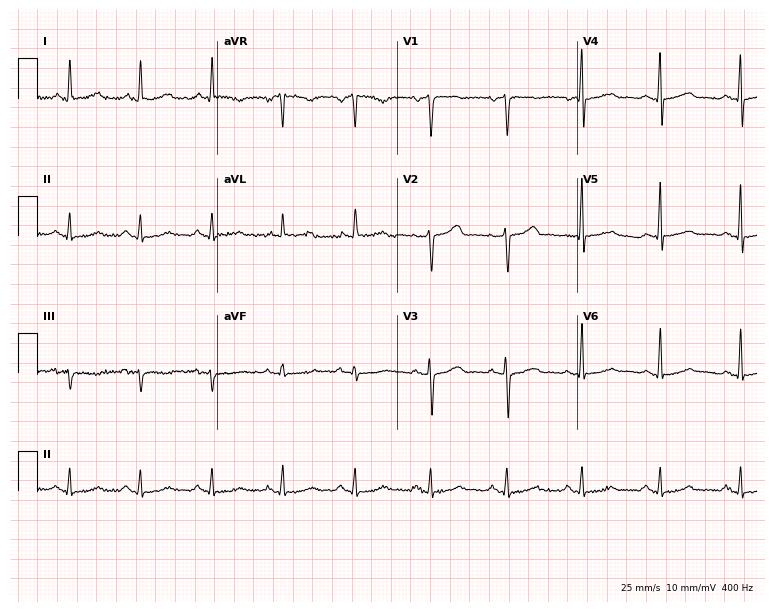
12-lead ECG from a female patient, 61 years old (7.3-second recording at 400 Hz). No first-degree AV block, right bundle branch block (RBBB), left bundle branch block (LBBB), sinus bradycardia, atrial fibrillation (AF) or sinus tachycardia recorded for this tracing.